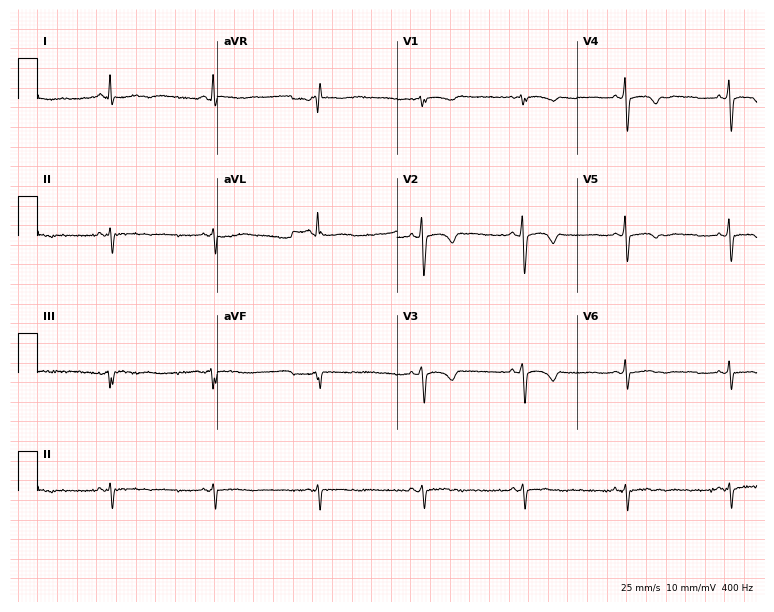
12-lead ECG (7.3-second recording at 400 Hz) from a 62-year-old woman. Screened for six findings — first-degree AV block, right bundle branch block (RBBB), left bundle branch block (LBBB), sinus bradycardia, atrial fibrillation (AF), sinus tachycardia — none is recorded.